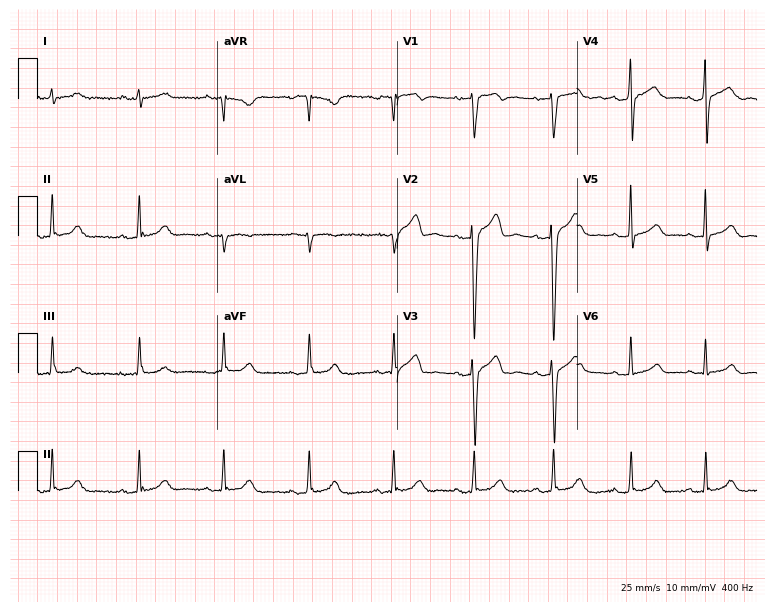
12-lead ECG from a 30-year-old male patient. No first-degree AV block, right bundle branch block (RBBB), left bundle branch block (LBBB), sinus bradycardia, atrial fibrillation (AF) or sinus tachycardia recorded for this tracing.